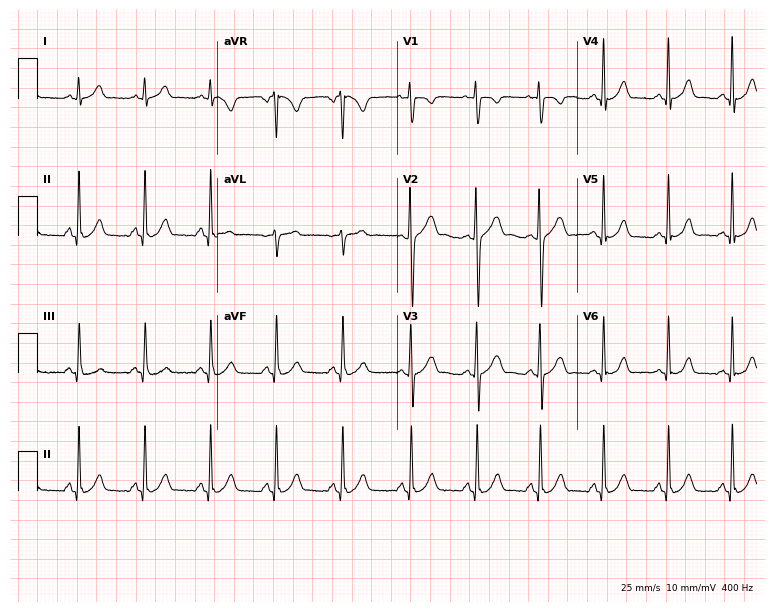
12-lead ECG (7.3-second recording at 400 Hz) from a female patient, 30 years old. Screened for six findings — first-degree AV block, right bundle branch block, left bundle branch block, sinus bradycardia, atrial fibrillation, sinus tachycardia — none is recorded.